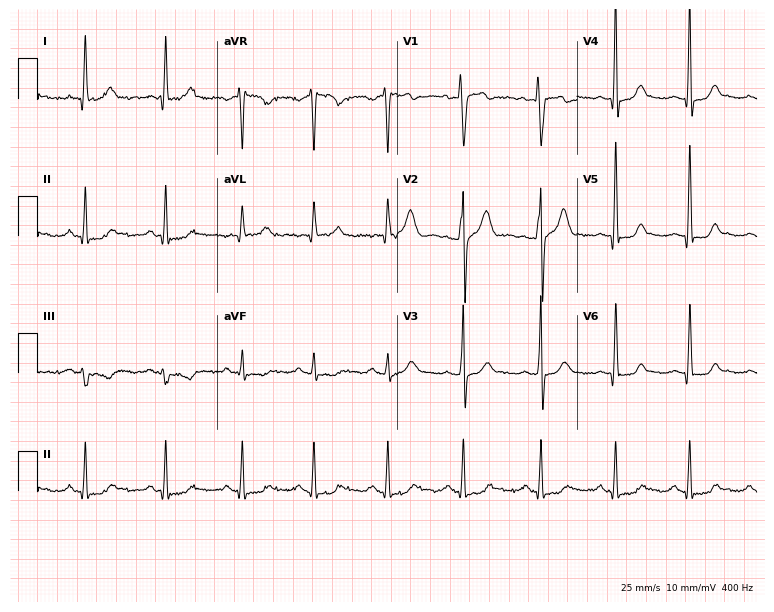
12-lead ECG from a man, 39 years old. Recorded interpretation: within normal limits.